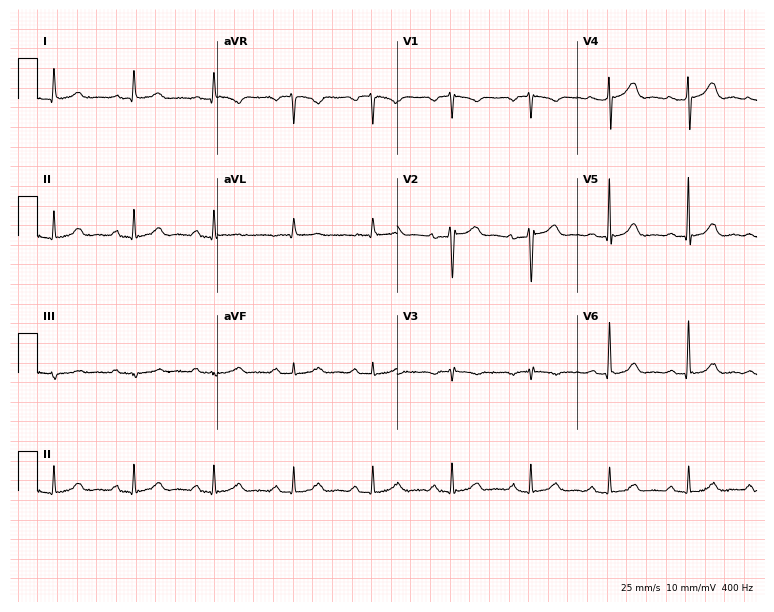
Electrocardiogram, a 78-year-old male. Of the six screened findings (first-degree AV block, right bundle branch block, left bundle branch block, sinus bradycardia, atrial fibrillation, sinus tachycardia), none is recorded. Only these six findings were labelled.